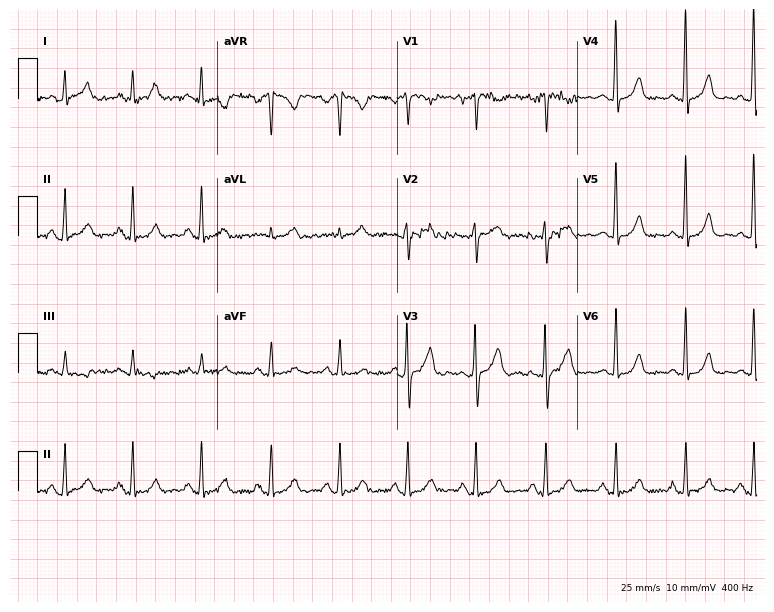
12-lead ECG from a female patient, 43 years old. Recorded interpretation: within normal limits.